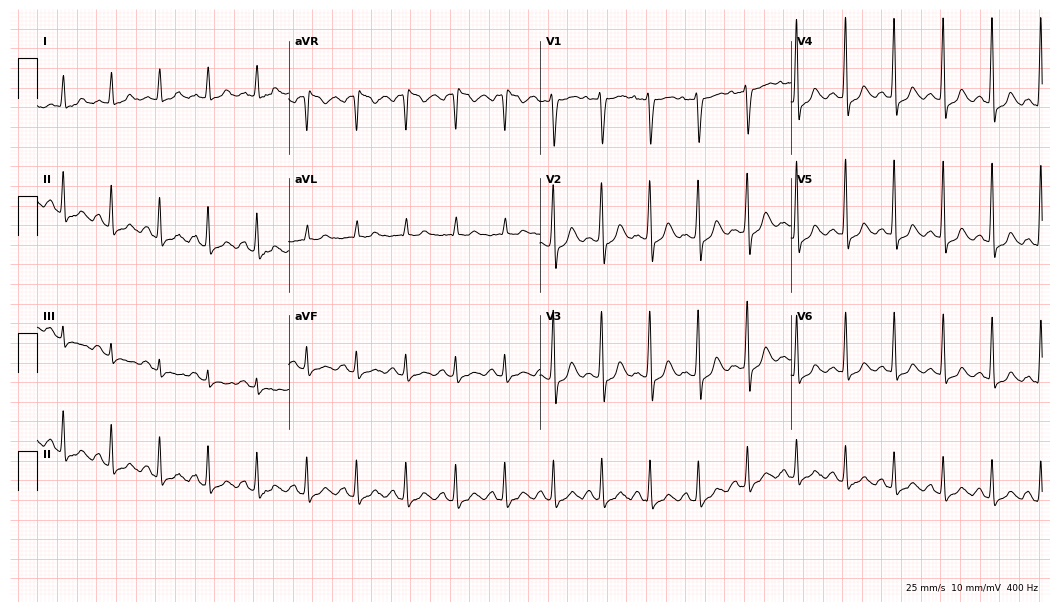
Resting 12-lead electrocardiogram (10.2-second recording at 400 Hz). Patient: a female, 47 years old. The tracing shows sinus tachycardia (a sinus rate of 100 beats per minute or more).